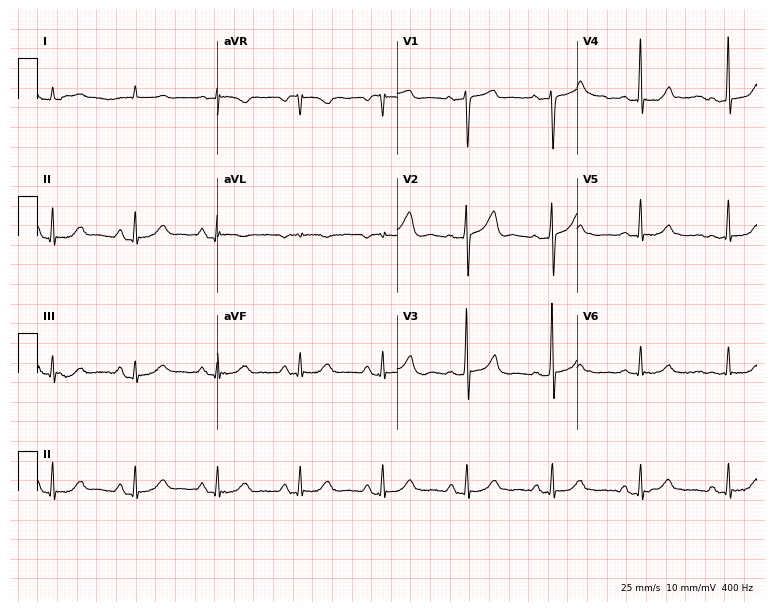
12-lead ECG from a 76-year-old man (7.3-second recording at 400 Hz). No first-degree AV block, right bundle branch block (RBBB), left bundle branch block (LBBB), sinus bradycardia, atrial fibrillation (AF) or sinus tachycardia recorded for this tracing. Only these six findings were labelled.